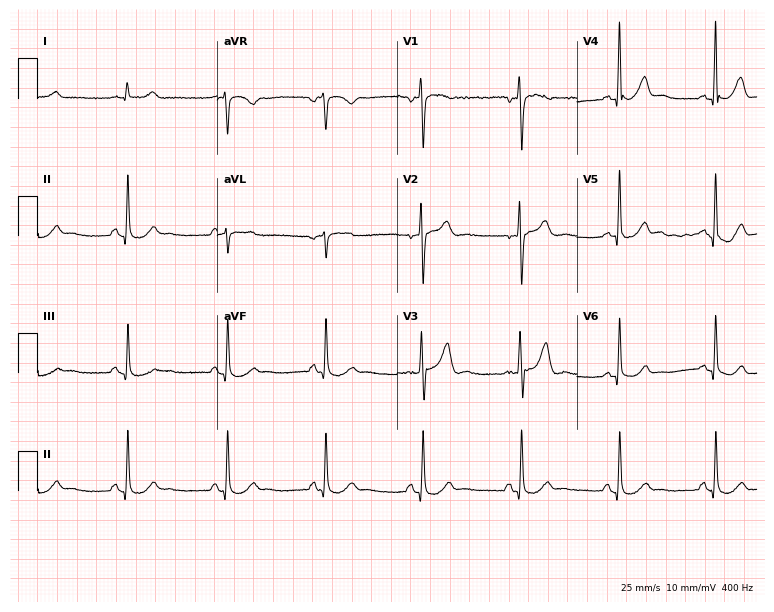
Electrocardiogram, a 53-year-old man. Overall reading on record: normal ECG.